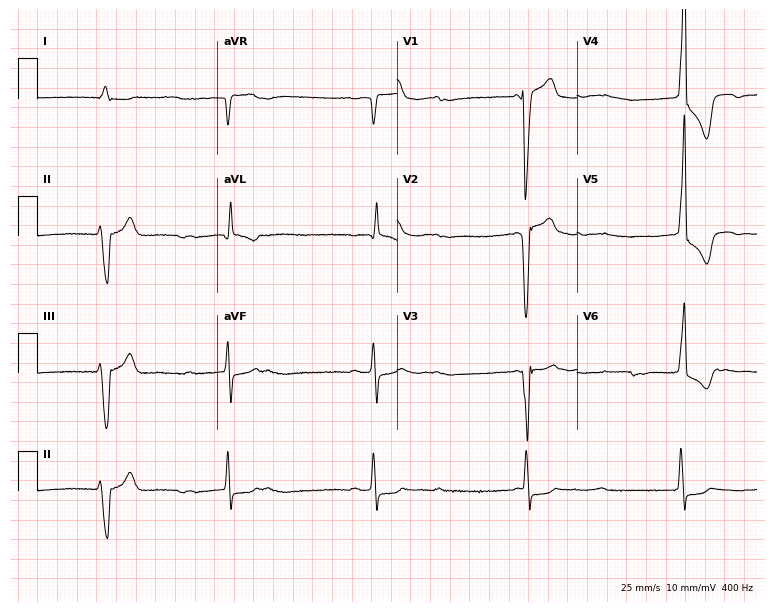
12-lead ECG from an 80-year-old male. Shows atrial fibrillation.